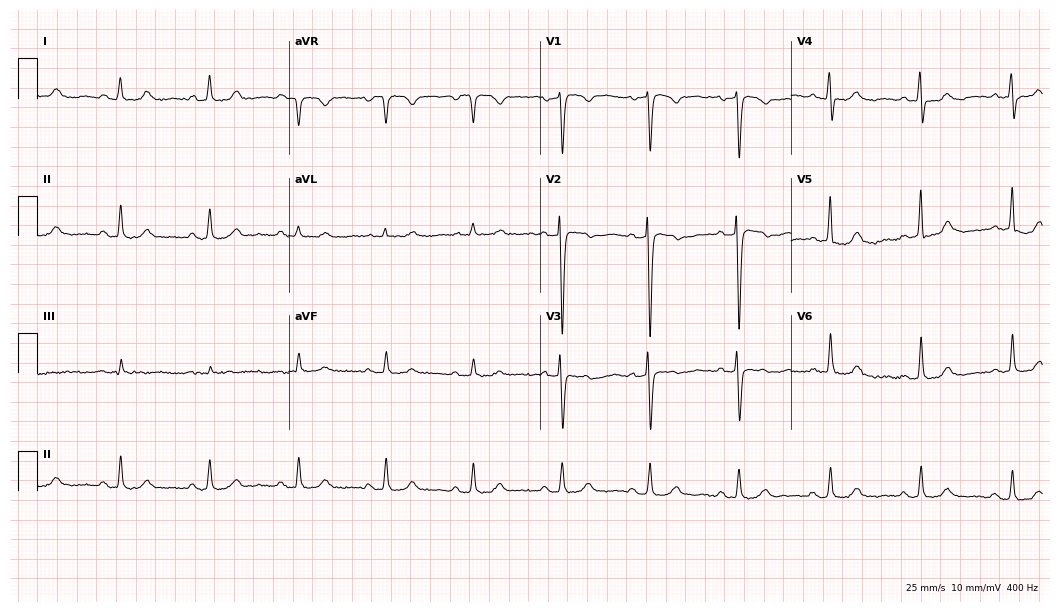
Standard 12-lead ECG recorded from a male patient, 74 years old. None of these six findings is recorded: first-degree AV block, right bundle branch block, left bundle branch block, sinus bradycardia, atrial fibrillation, sinus tachycardia.